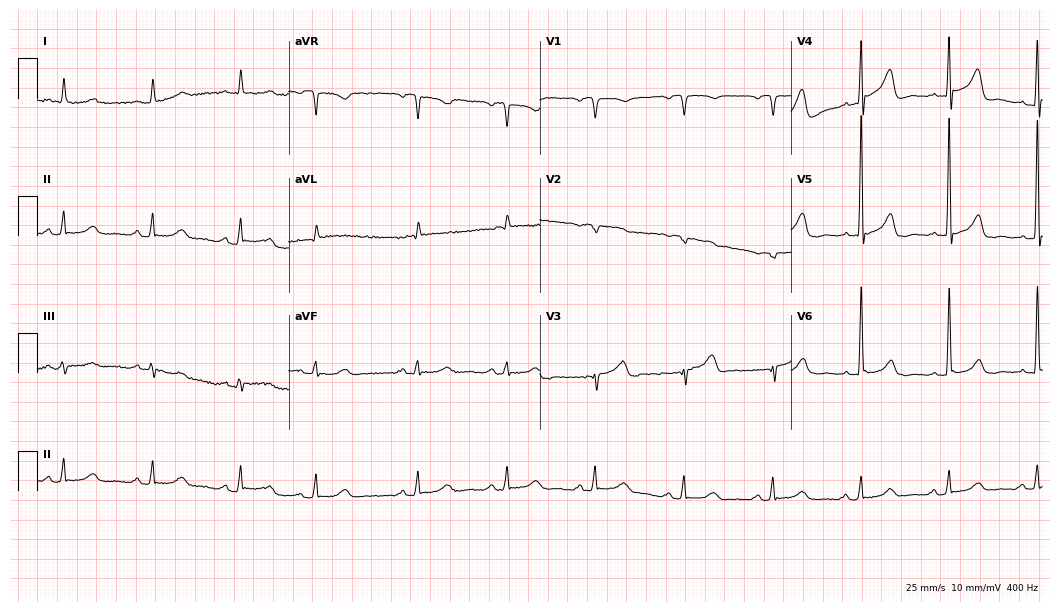
Standard 12-lead ECG recorded from a 70-year-old man. None of these six findings is recorded: first-degree AV block, right bundle branch block, left bundle branch block, sinus bradycardia, atrial fibrillation, sinus tachycardia.